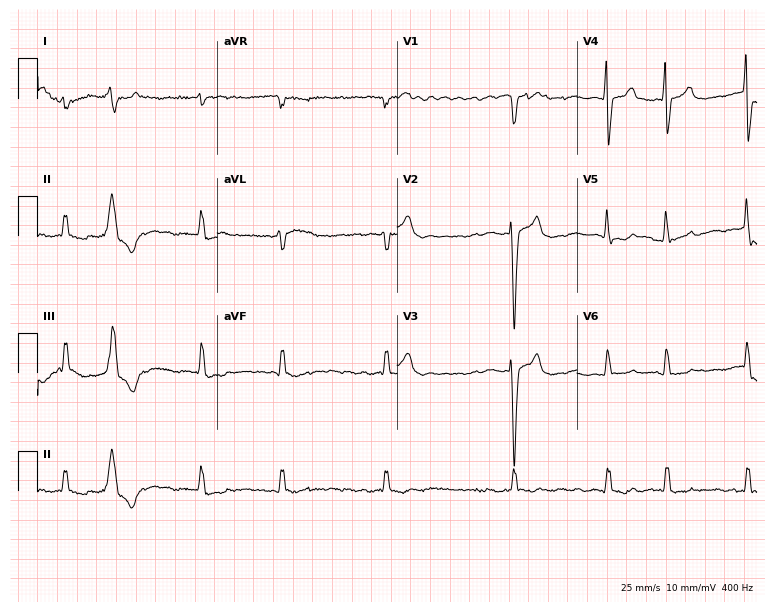
12-lead ECG from a male patient, 81 years old. Findings include atrial fibrillation.